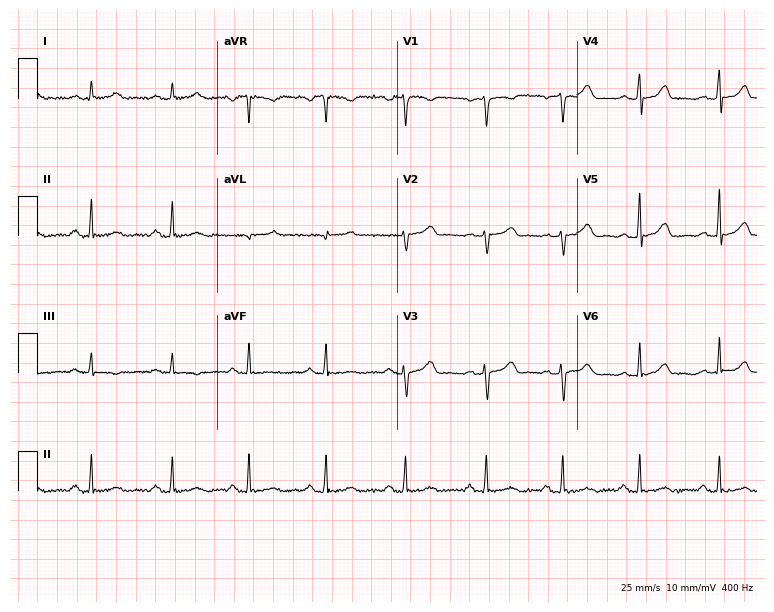
Electrocardiogram (7.3-second recording at 400 Hz), a female patient, 20 years old. Of the six screened findings (first-degree AV block, right bundle branch block (RBBB), left bundle branch block (LBBB), sinus bradycardia, atrial fibrillation (AF), sinus tachycardia), none is recorded.